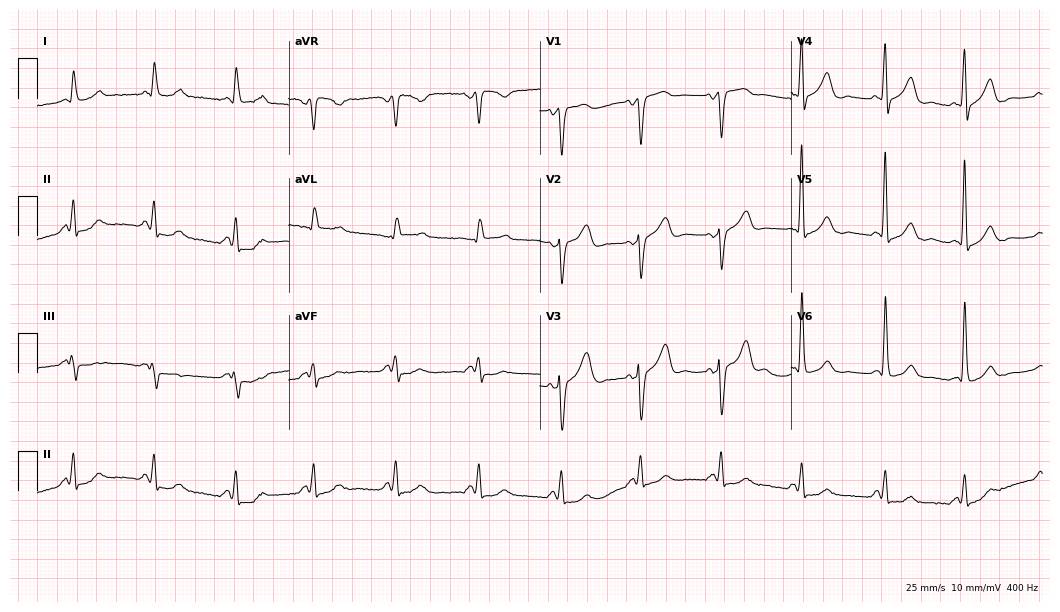
12-lead ECG (10.2-second recording at 400 Hz) from an 81-year-old female patient. Screened for six findings — first-degree AV block, right bundle branch block, left bundle branch block, sinus bradycardia, atrial fibrillation, sinus tachycardia — none is recorded. Other findings, if any, are not listed.